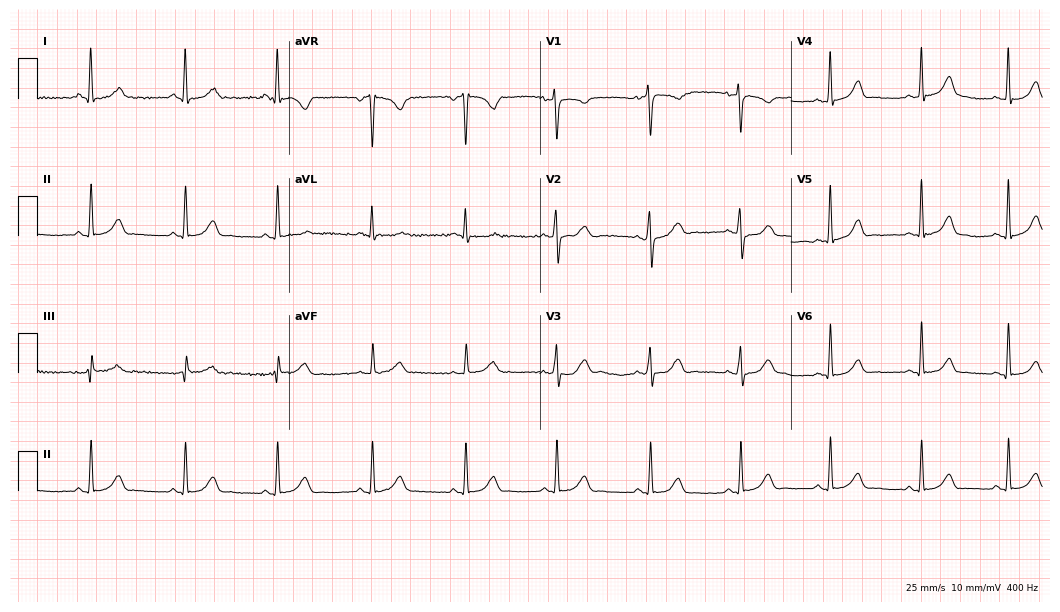
Electrocardiogram (10.2-second recording at 400 Hz), a female patient, 34 years old. Overall reading on record: normal ECG.